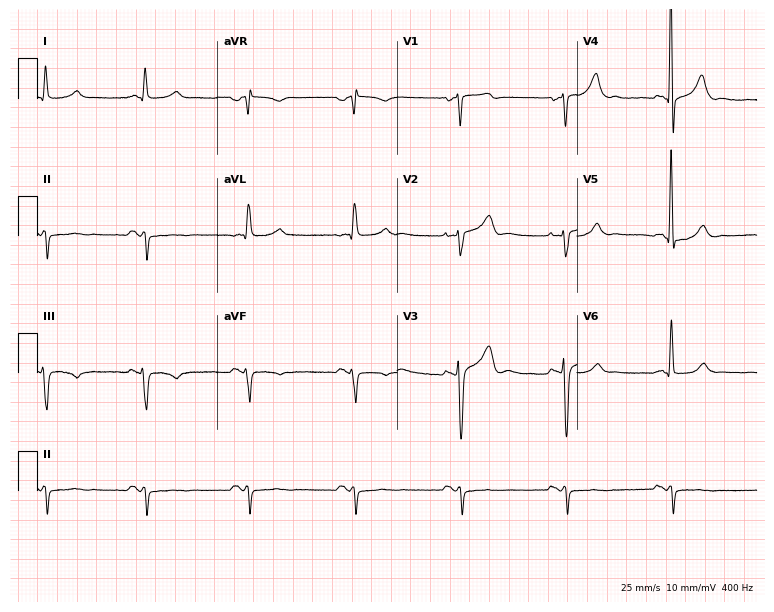
12-lead ECG from a 68-year-old man. No first-degree AV block, right bundle branch block (RBBB), left bundle branch block (LBBB), sinus bradycardia, atrial fibrillation (AF) or sinus tachycardia recorded for this tracing.